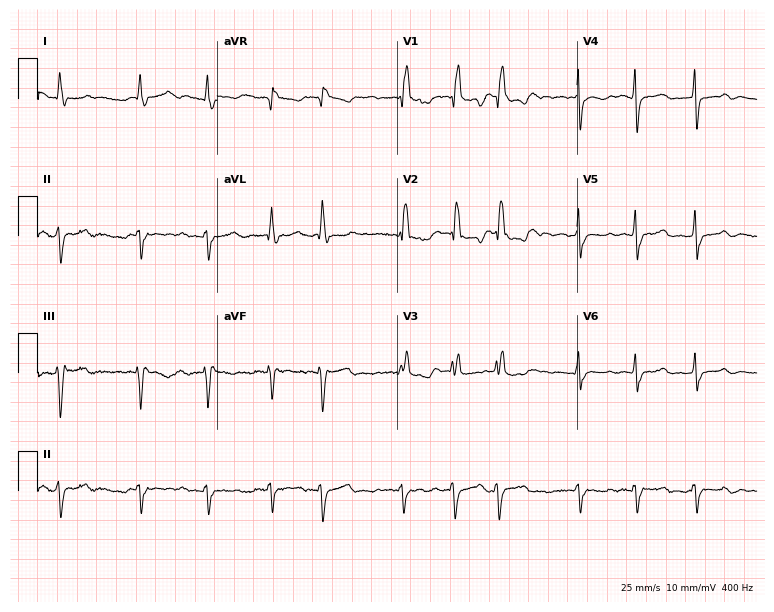
ECG — a woman, 70 years old. Findings include right bundle branch block (RBBB), atrial fibrillation (AF).